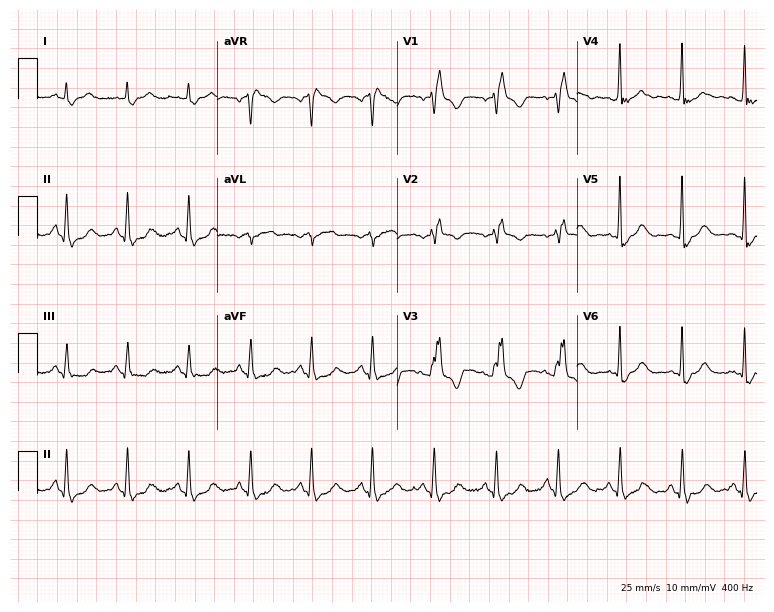
Resting 12-lead electrocardiogram (7.3-second recording at 400 Hz). Patient: a 66-year-old male. The tracing shows right bundle branch block (RBBB).